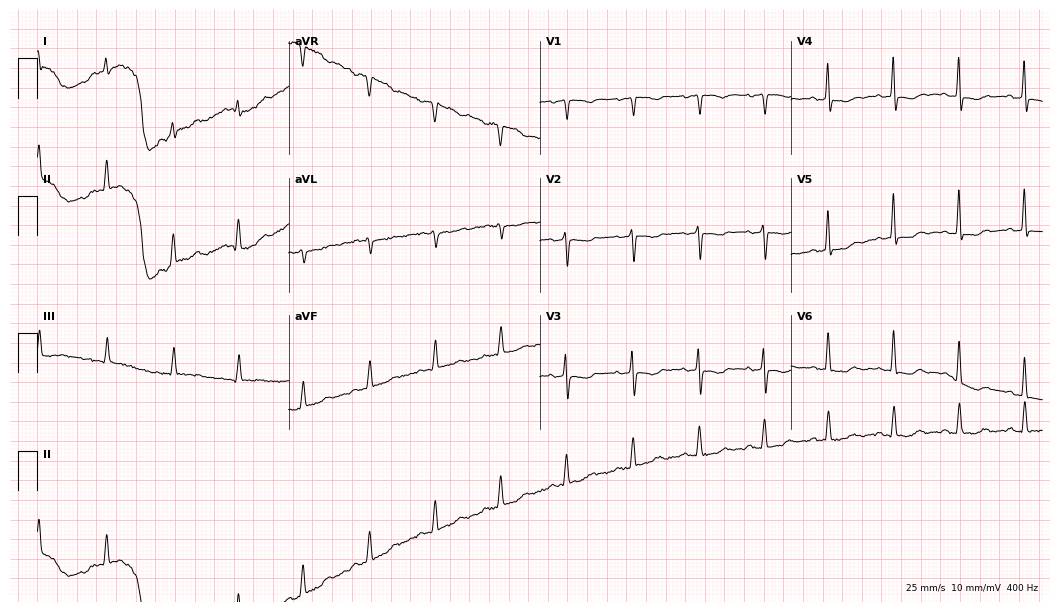
Electrocardiogram (10.2-second recording at 400 Hz), a 55-year-old female. Of the six screened findings (first-degree AV block, right bundle branch block, left bundle branch block, sinus bradycardia, atrial fibrillation, sinus tachycardia), none is recorded. Findings outside these six are not listed.